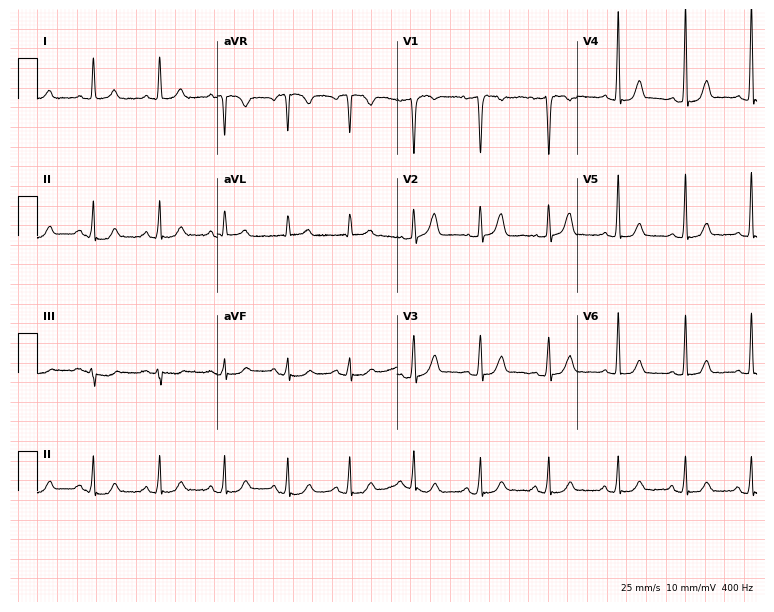
Electrocardiogram, a woman, 36 years old. Overall reading on record: normal ECG.